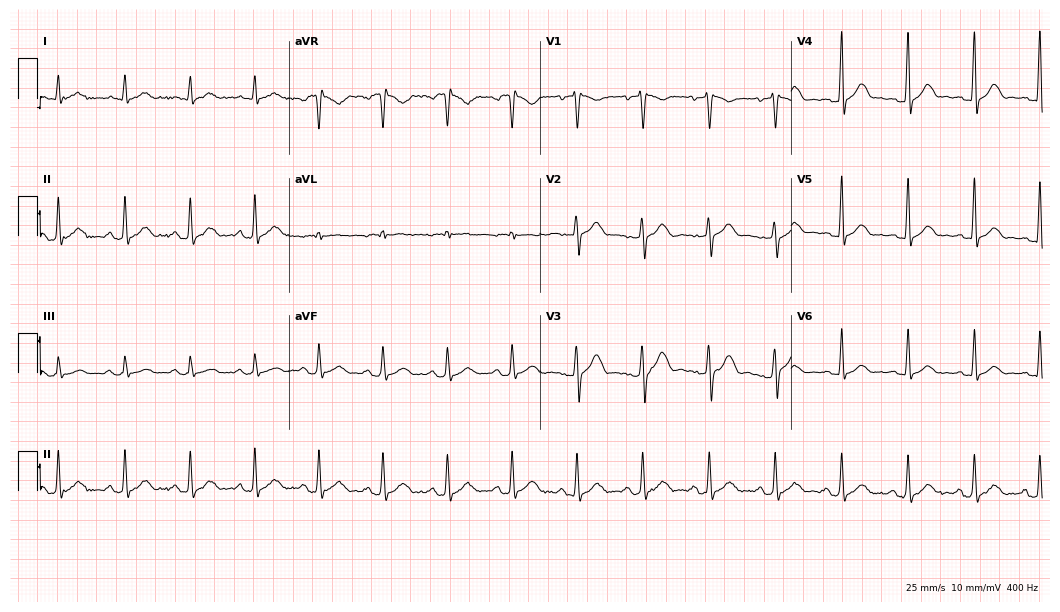
12-lead ECG from a 33-year-old man (10.2-second recording at 400 Hz). Recorded interpretation: within normal limits.